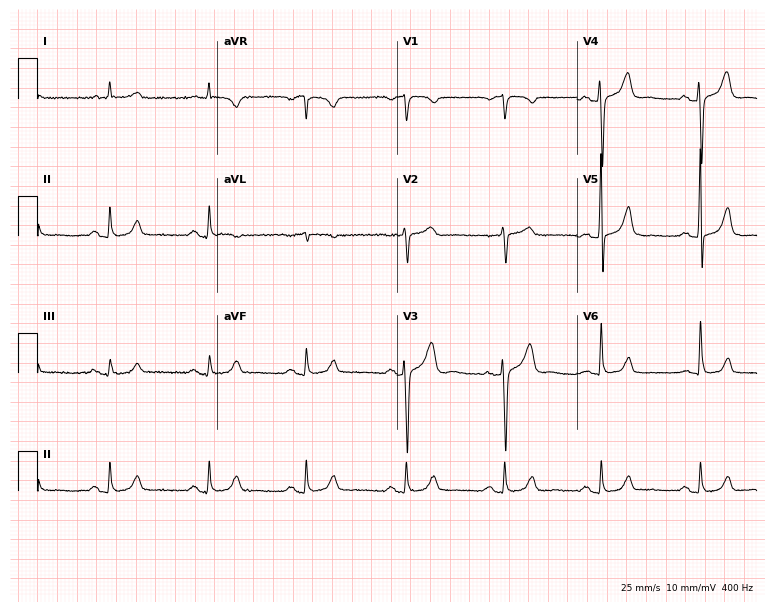
12-lead ECG from a male patient, 81 years old (7.3-second recording at 400 Hz). Recorded interpretation: within normal limits.